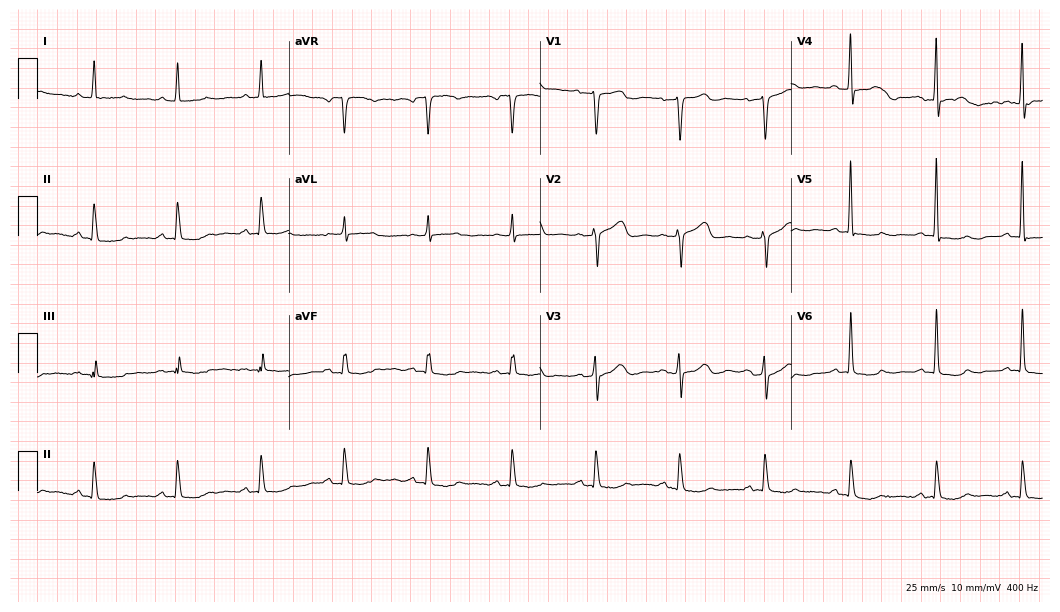
Standard 12-lead ECG recorded from a 65-year-old male patient. None of these six findings is recorded: first-degree AV block, right bundle branch block (RBBB), left bundle branch block (LBBB), sinus bradycardia, atrial fibrillation (AF), sinus tachycardia. Findings outside these six are not listed.